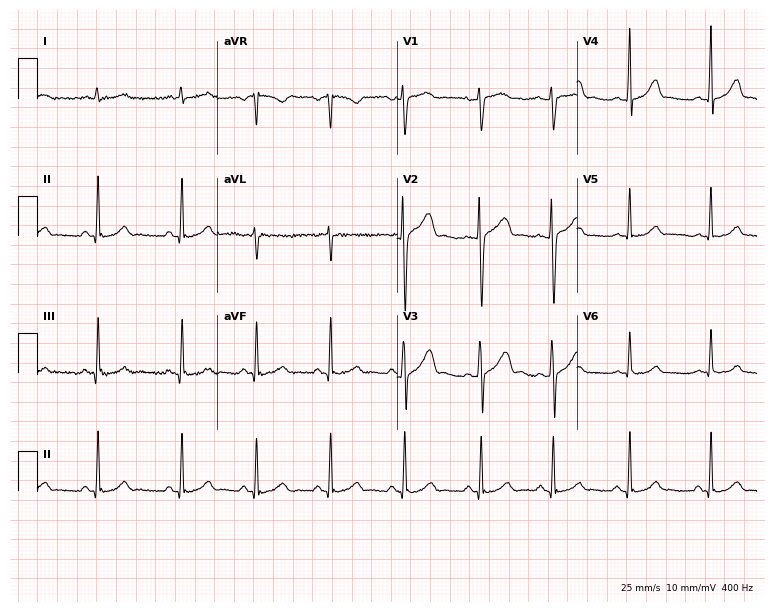
Electrocardiogram, a woman, 23 years old. Overall reading on record: normal ECG.